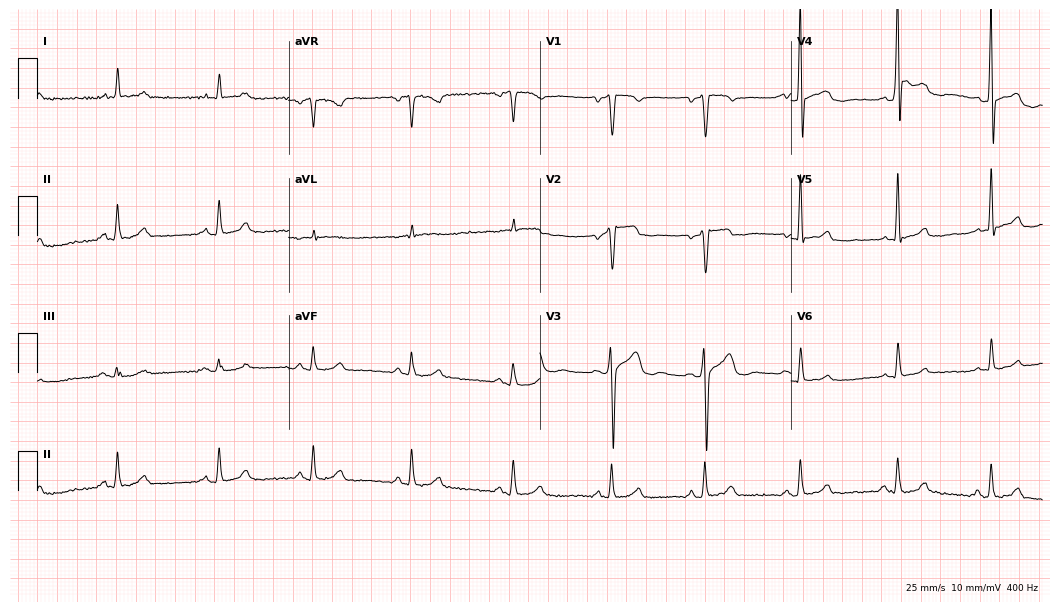
ECG — a male patient, 37 years old. Screened for six findings — first-degree AV block, right bundle branch block (RBBB), left bundle branch block (LBBB), sinus bradycardia, atrial fibrillation (AF), sinus tachycardia — none is recorded.